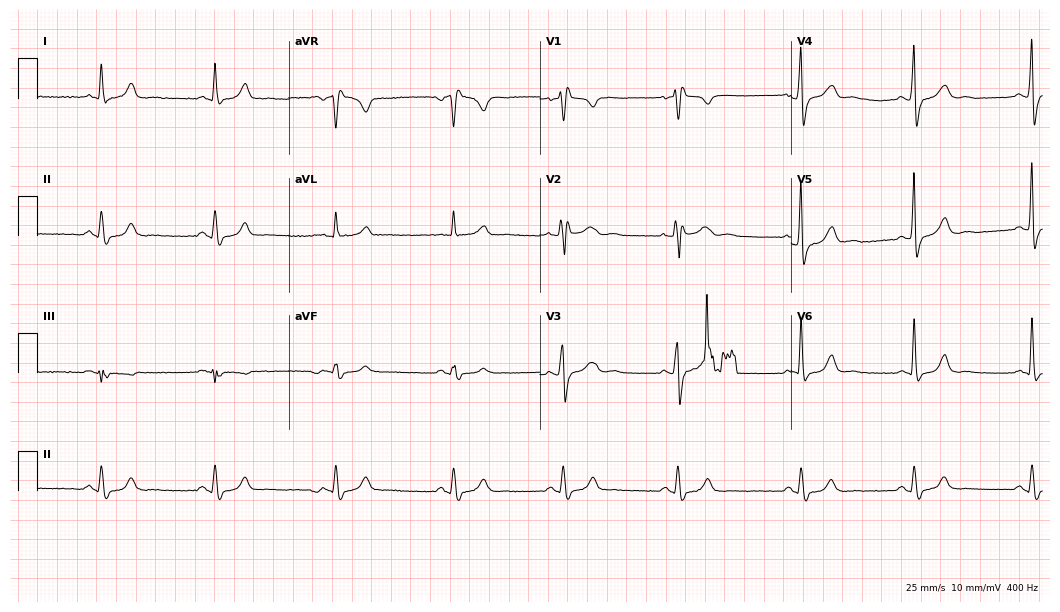
12-lead ECG (10.2-second recording at 400 Hz) from a 54-year-old male. Findings include right bundle branch block.